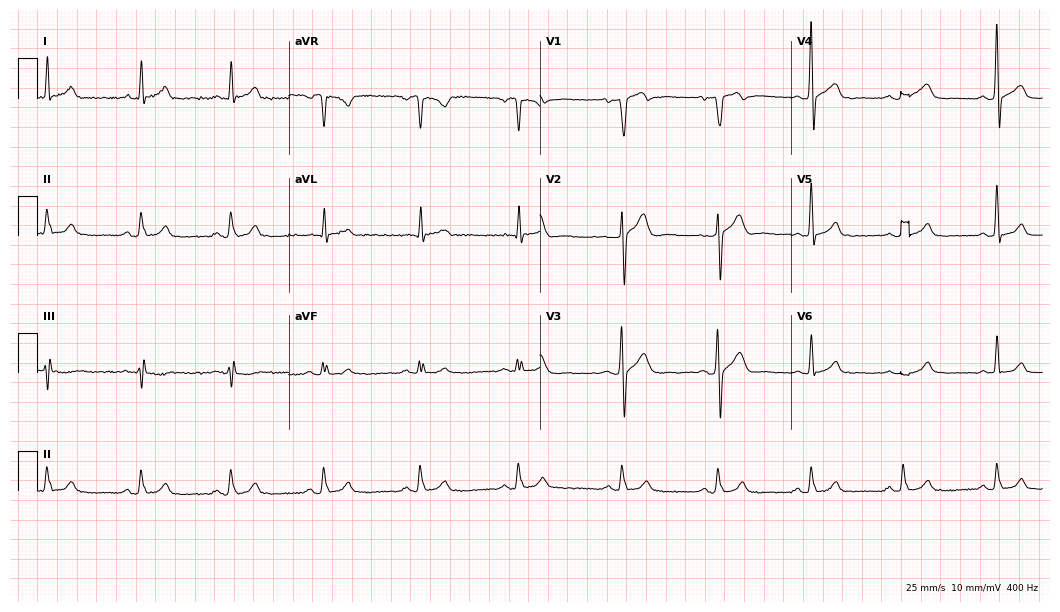
12-lead ECG from a 43-year-old male patient. Labelled as a normal ECG.